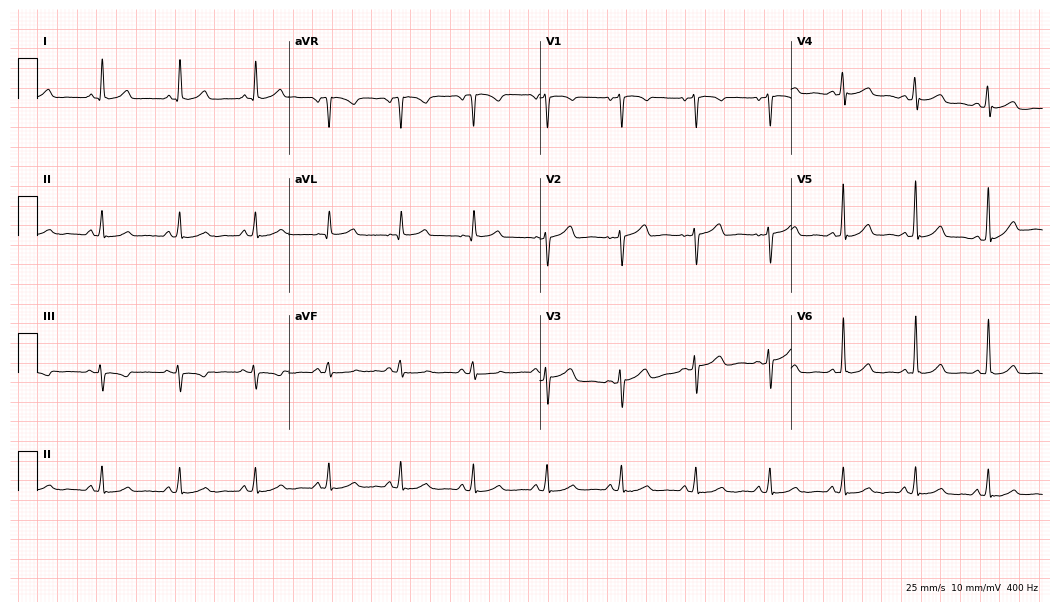
ECG (10.2-second recording at 400 Hz) — a 45-year-old woman. Labelled as a normal ECG.